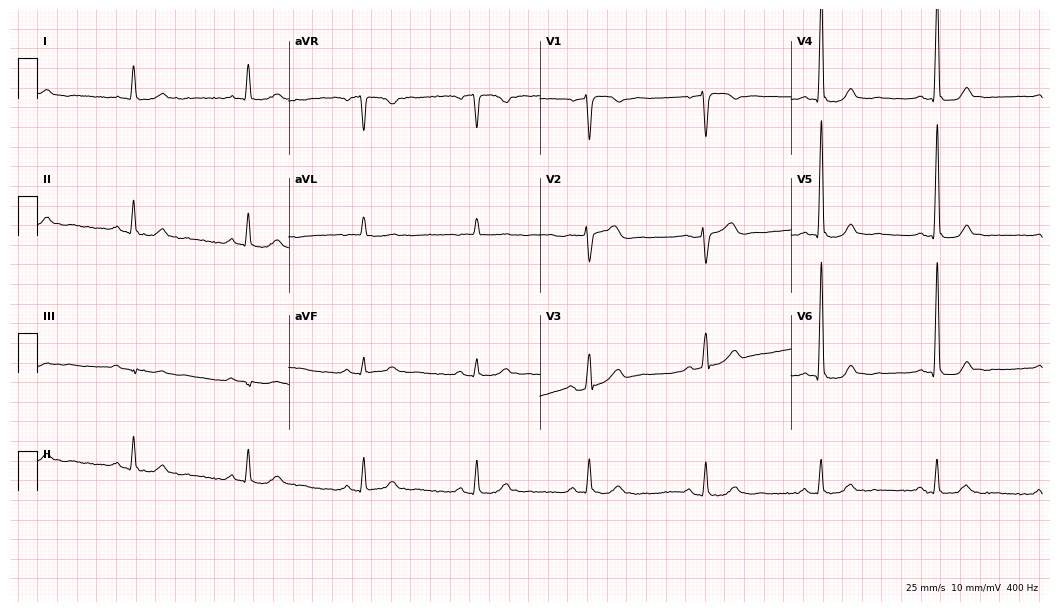
Standard 12-lead ECG recorded from a male patient, 66 years old. Read as a normal ECG.